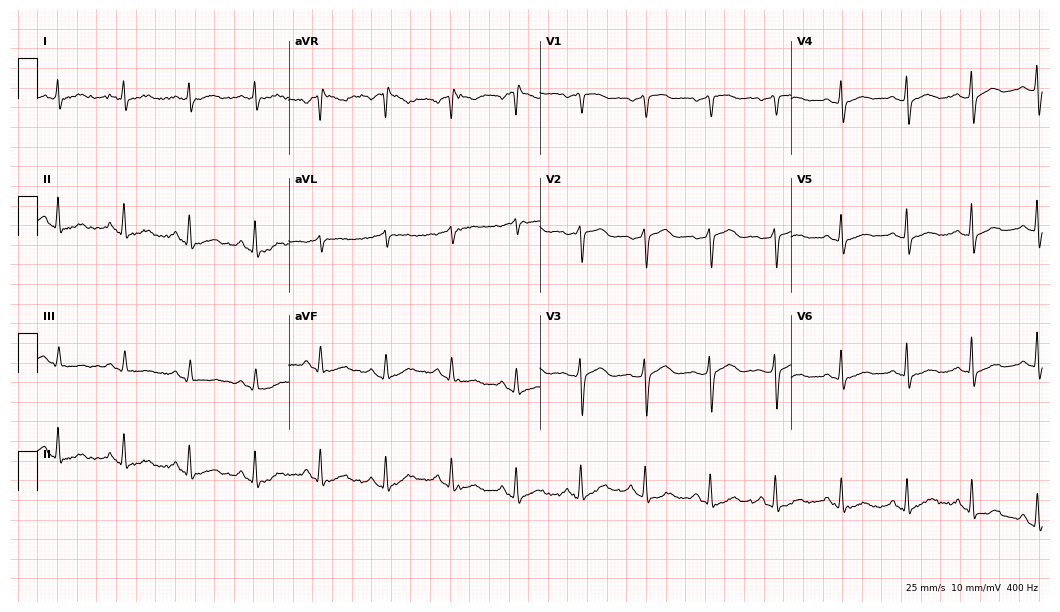
12-lead ECG (10.2-second recording at 400 Hz) from a female patient, 63 years old. Labelled as a normal ECG.